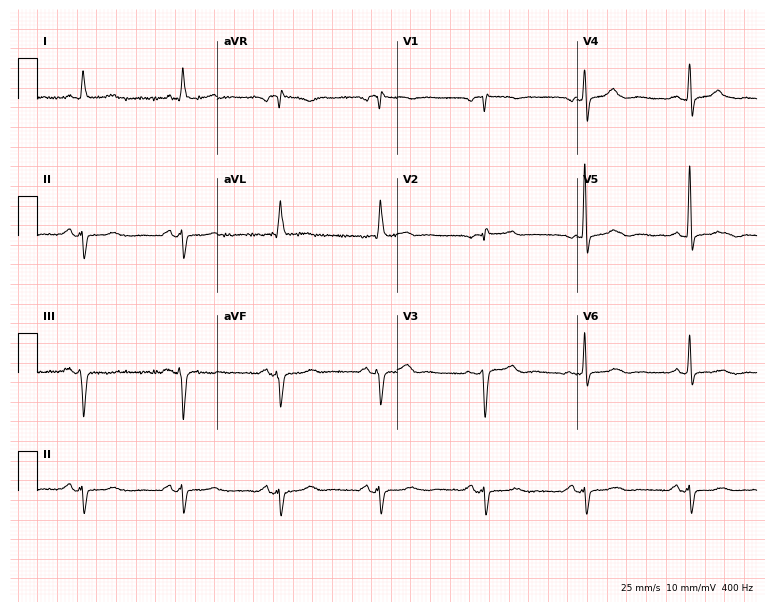
ECG (7.3-second recording at 400 Hz) — a female patient, 79 years old. Screened for six findings — first-degree AV block, right bundle branch block (RBBB), left bundle branch block (LBBB), sinus bradycardia, atrial fibrillation (AF), sinus tachycardia — none is recorded.